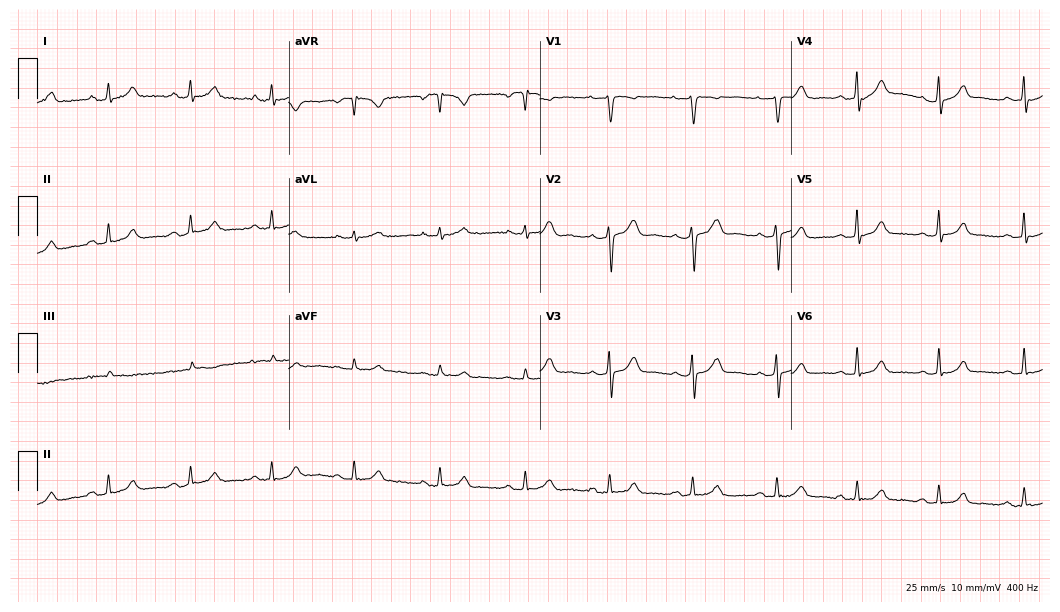
Electrocardiogram, a 29-year-old female. Overall reading on record: normal ECG.